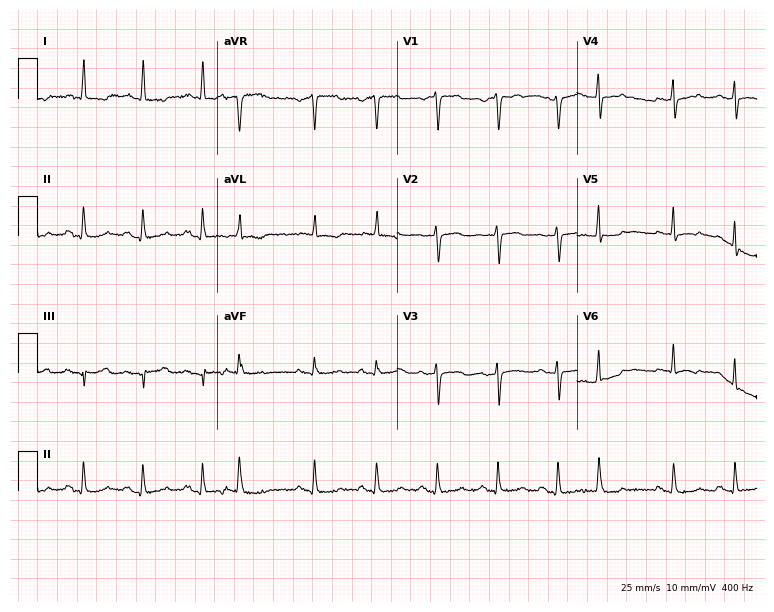
12-lead ECG from a woman, 79 years old. Screened for six findings — first-degree AV block, right bundle branch block, left bundle branch block, sinus bradycardia, atrial fibrillation, sinus tachycardia — none is recorded. Findings outside these six are not listed.